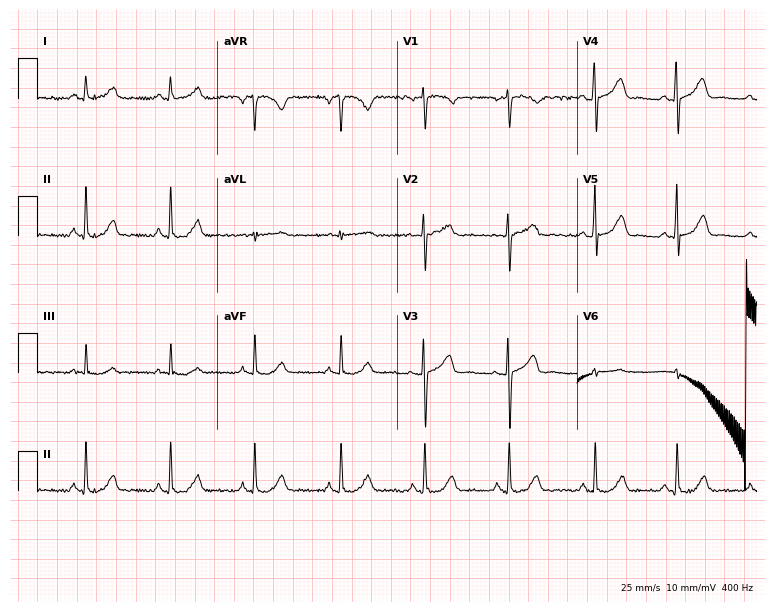
ECG (7.3-second recording at 400 Hz) — a 47-year-old female. Labelled as a normal ECG.